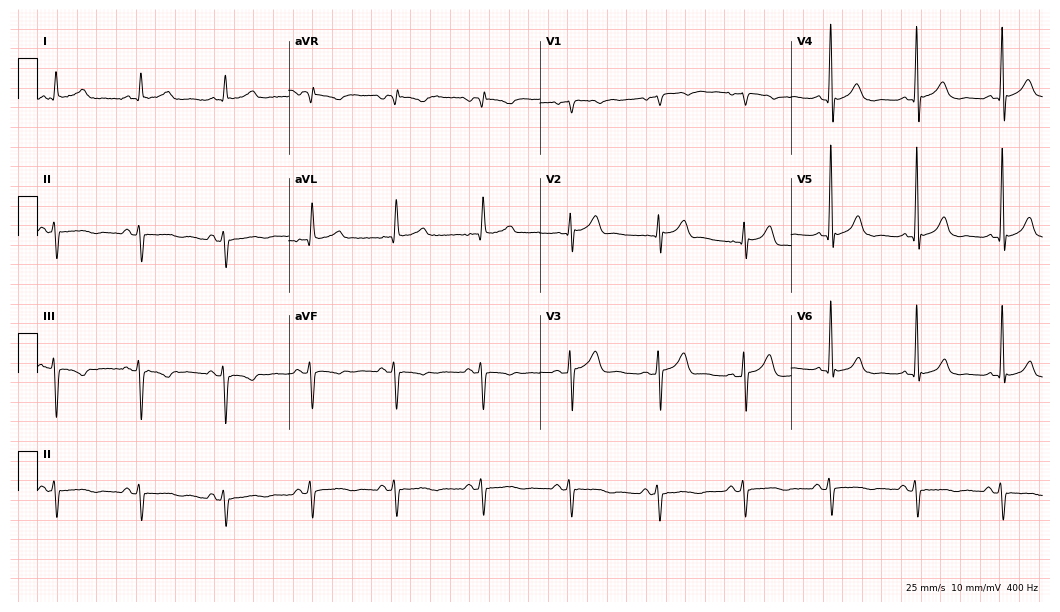
12-lead ECG from a 75-year-old male patient (10.2-second recording at 400 Hz). No first-degree AV block, right bundle branch block (RBBB), left bundle branch block (LBBB), sinus bradycardia, atrial fibrillation (AF) or sinus tachycardia recorded for this tracing.